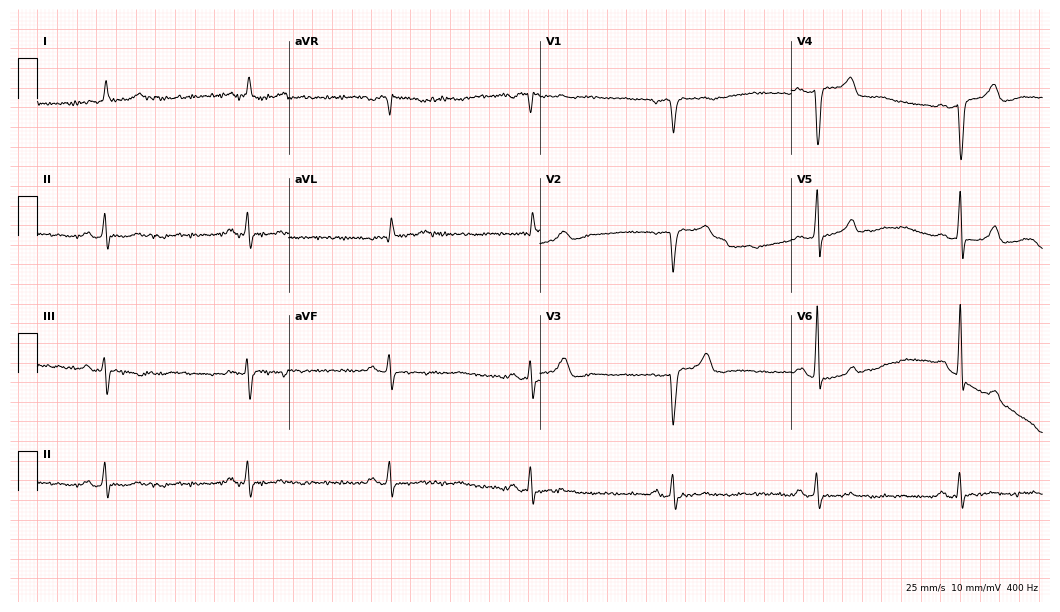
Standard 12-lead ECG recorded from a male patient, 83 years old (10.2-second recording at 400 Hz). None of these six findings is recorded: first-degree AV block, right bundle branch block (RBBB), left bundle branch block (LBBB), sinus bradycardia, atrial fibrillation (AF), sinus tachycardia.